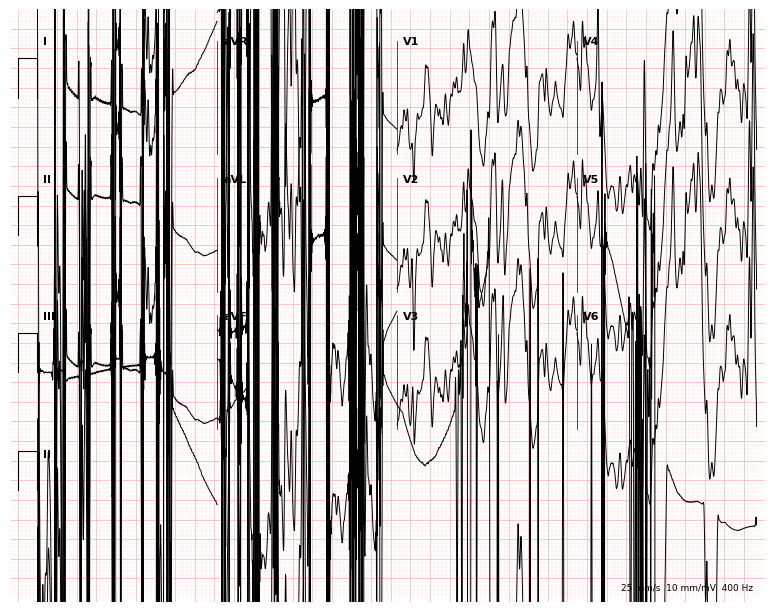
12-lead ECG (7.3-second recording at 400 Hz) from a man, 21 years old. Screened for six findings — first-degree AV block, right bundle branch block, left bundle branch block, sinus bradycardia, atrial fibrillation, sinus tachycardia — none is recorded.